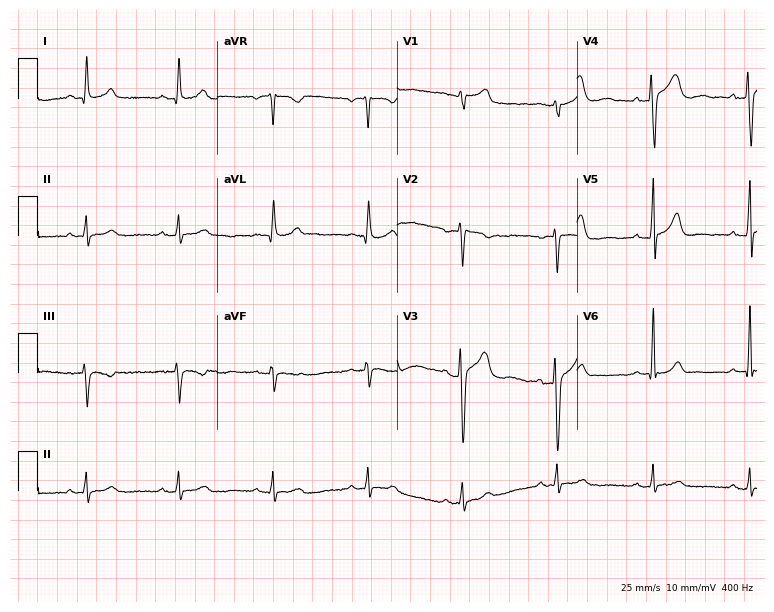
12-lead ECG from a 52-year-old man. Recorded interpretation: within normal limits.